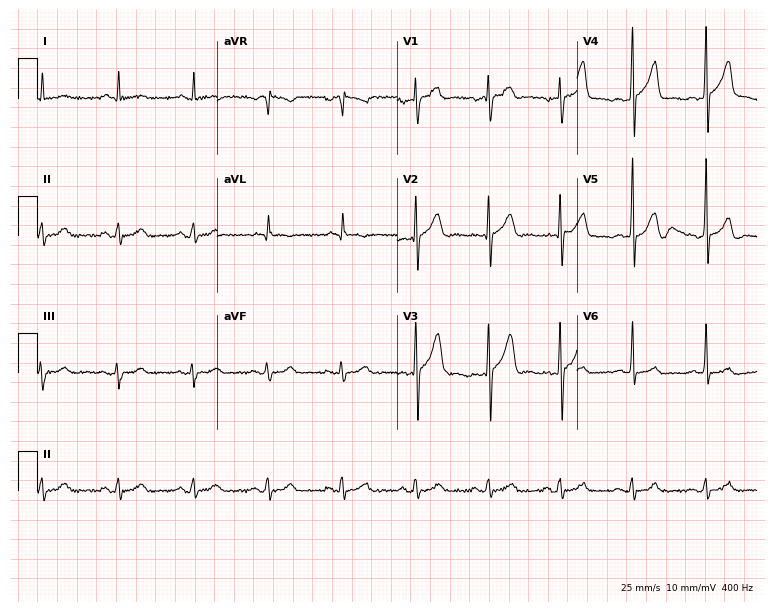
Standard 12-lead ECG recorded from a 57-year-old male. None of these six findings is recorded: first-degree AV block, right bundle branch block, left bundle branch block, sinus bradycardia, atrial fibrillation, sinus tachycardia.